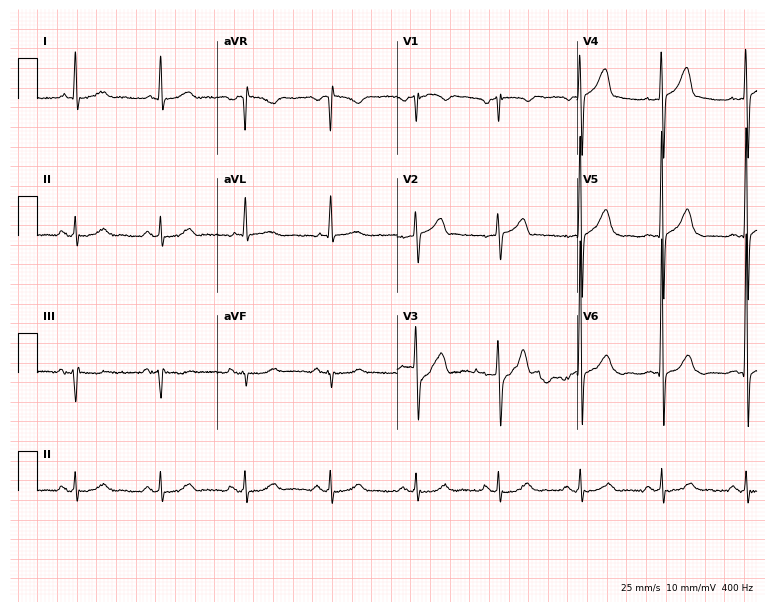
12-lead ECG from a male patient, 69 years old (7.3-second recording at 400 Hz). No first-degree AV block, right bundle branch block, left bundle branch block, sinus bradycardia, atrial fibrillation or sinus tachycardia recorded for this tracing. Other findings, if any, are not listed.